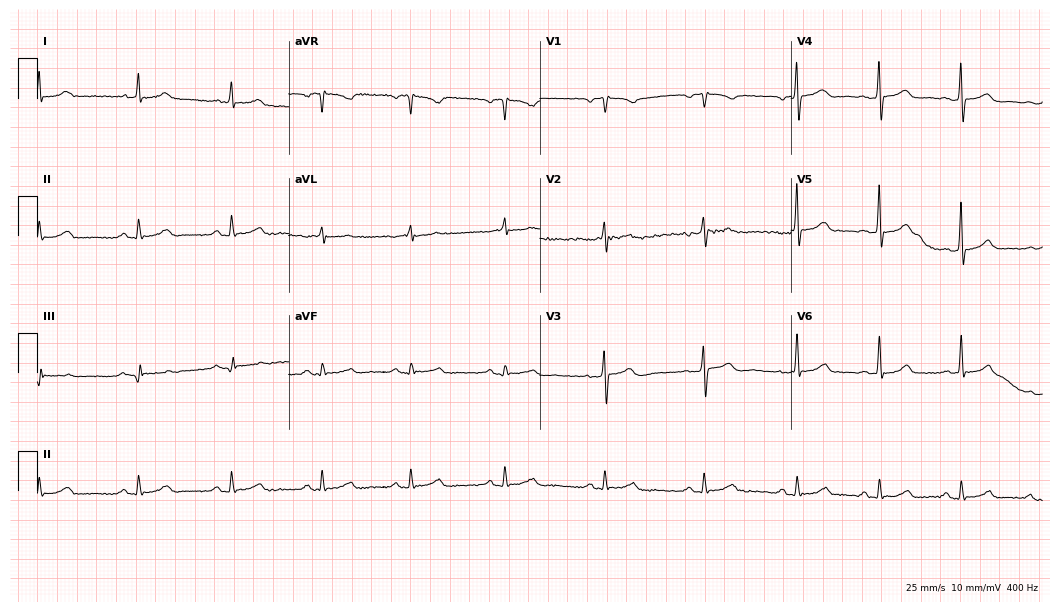
Standard 12-lead ECG recorded from a 61-year-old man. Read as a normal ECG.